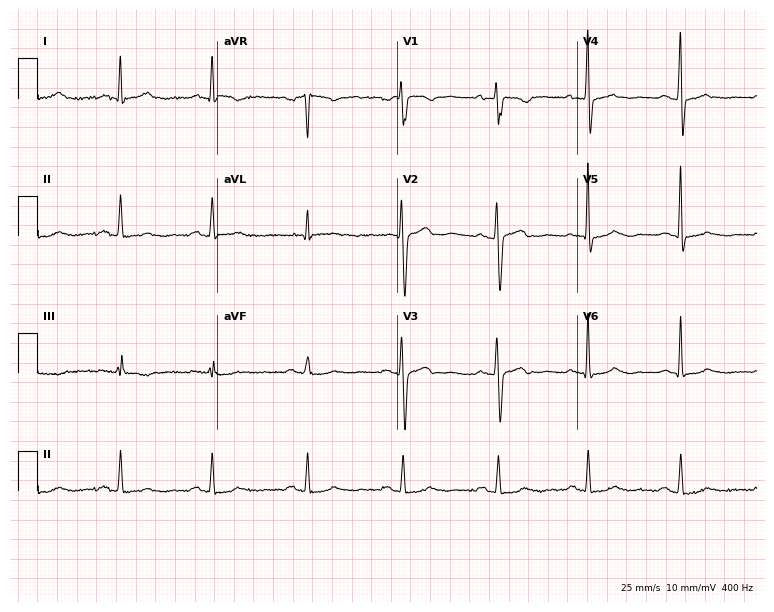
Resting 12-lead electrocardiogram. Patient: a 49-year-old woman. None of these six findings is recorded: first-degree AV block, right bundle branch block, left bundle branch block, sinus bradycardia, atrial fibrillation, sinus tachycardia. Other findings, if any, are not listed.